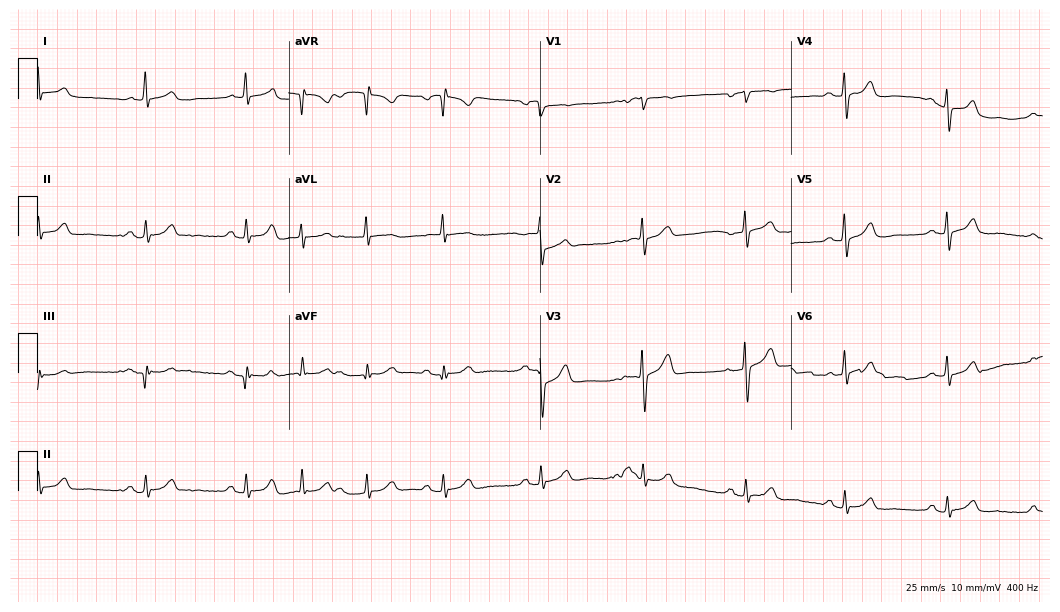
12-lead ECG from a 62-year-old woman (10.2-second recording at 400 Hz). Shows sinus bradycardia (a sinus rate of 50 beats per minute or less).